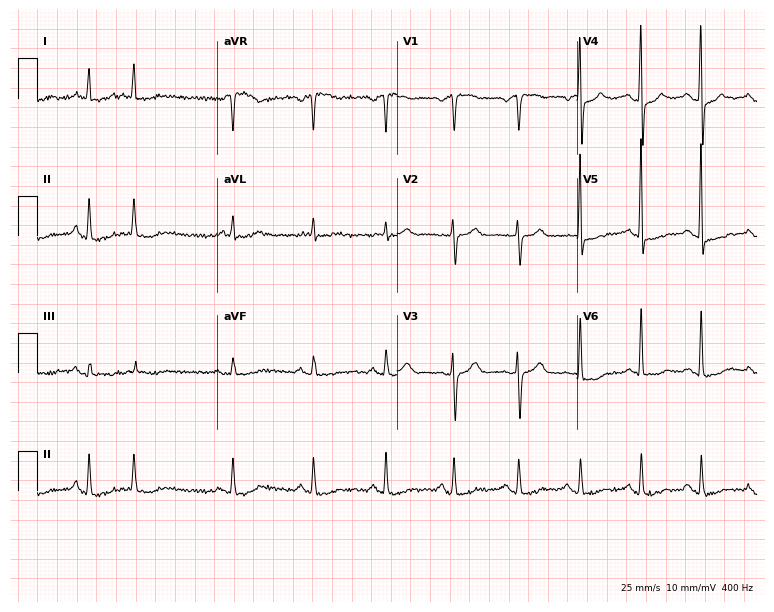
Standard 12-lead ECG recorded from a 72-year-old woman. Read as a normal ECG.